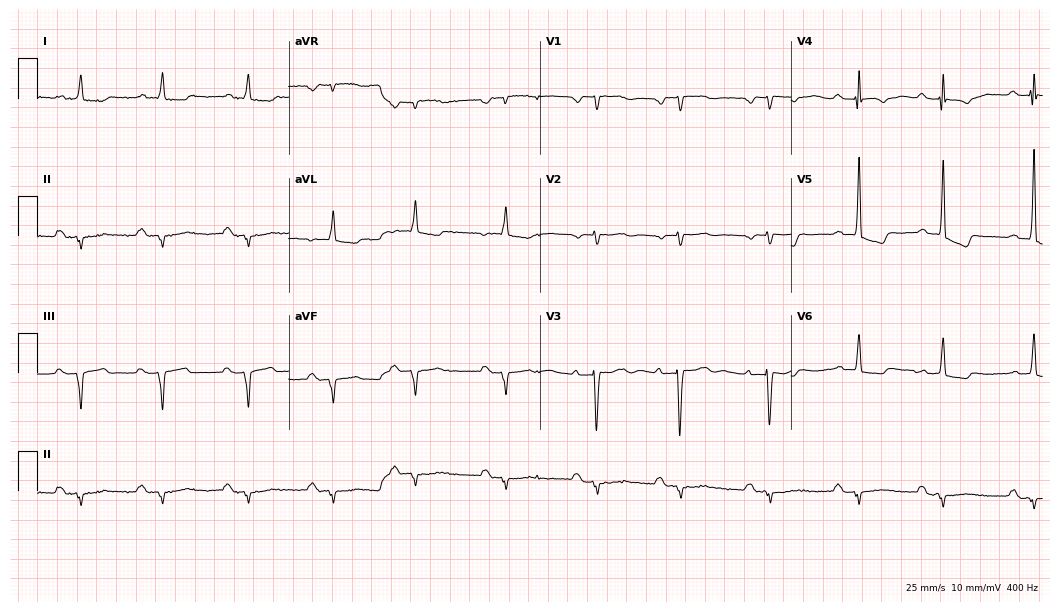
12-lead ECG from a man, 72 years old. Shows first-degree AV block.